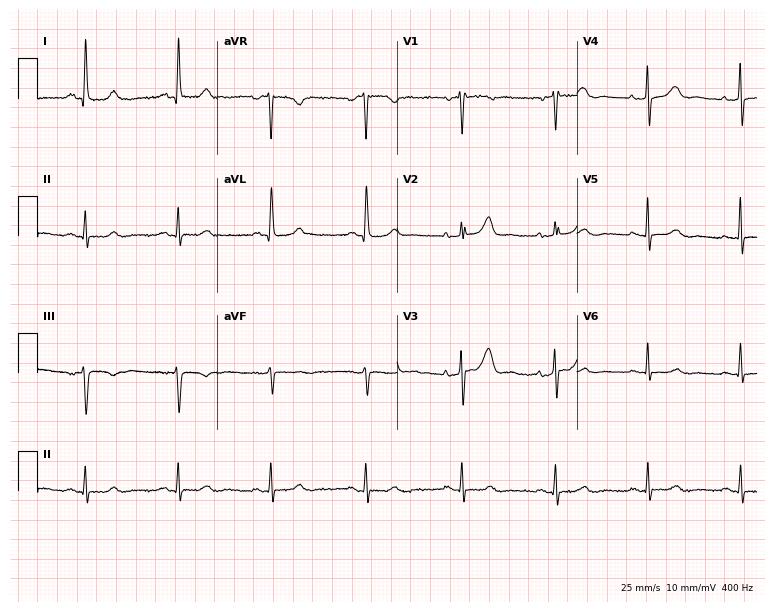
12-lead ECG from a 78-year-old woman (7.3-second recording at 400 Hz). Recorded interpretation: within normal limits.